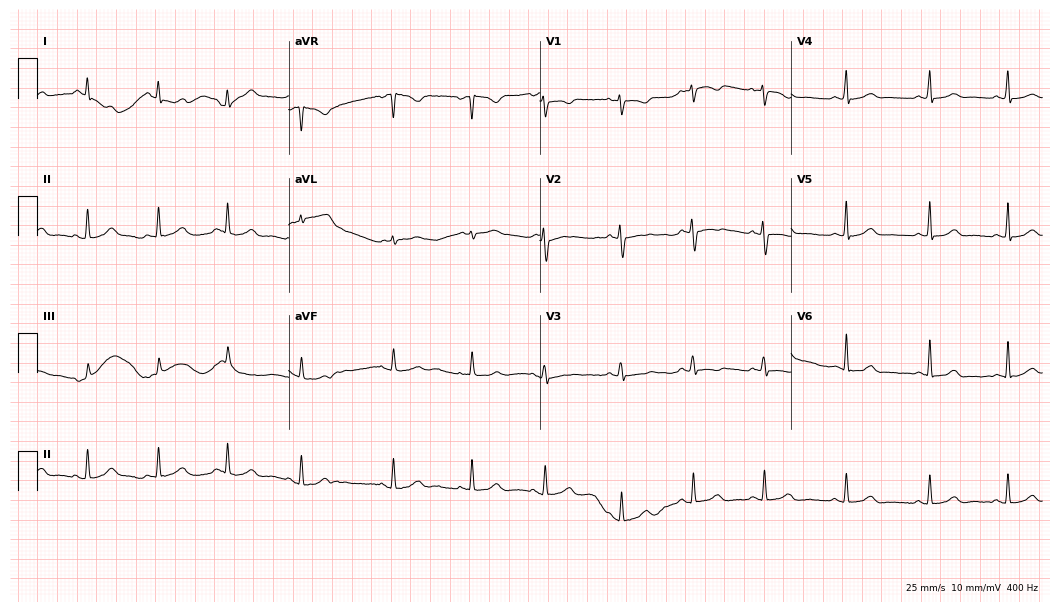
Standard 12-lead ECG recorded from a 28-year-old female patient. Read as a normal ECG.